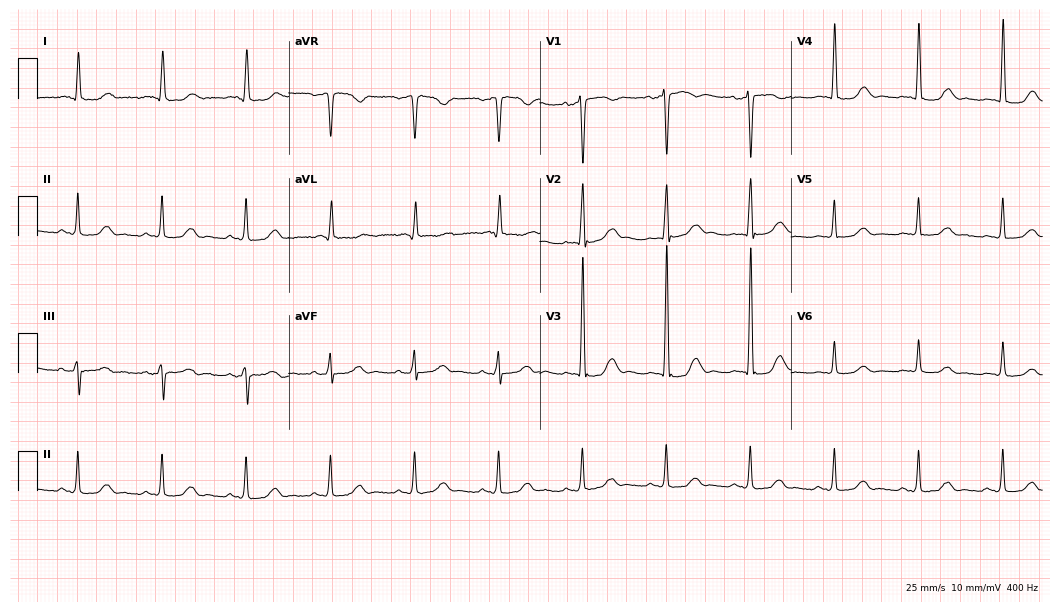
Standard 12-lead ECG recorded from a male, 72 years old. None of these six findings is recorded: first-degree AV block, right bundle branch block (RBBB), left bundle branch block (LBBB), sinus bradycardia, atrial fibrillation (AF), sinus tachycardia. Findings outside these six are not listed.